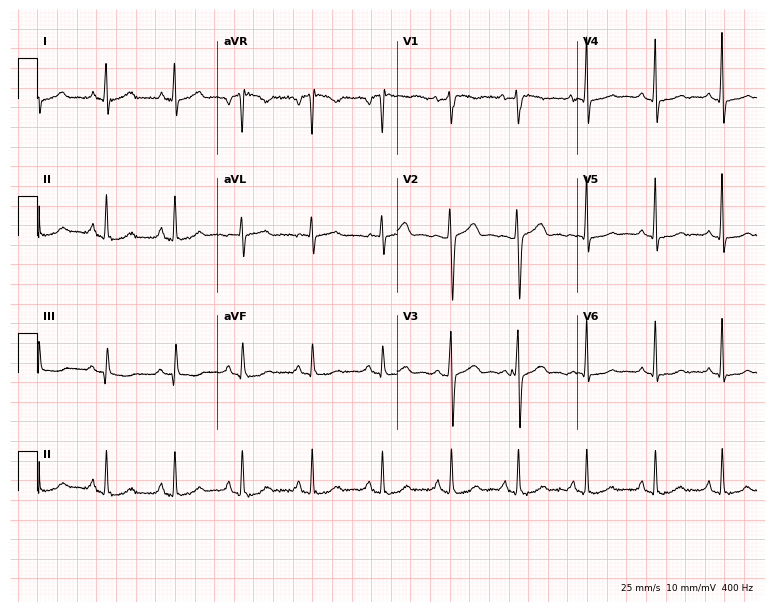
12-lead ECG from a 49-year-old female patient. Screened for six findings — first-degree AV block, right bundle branch block, left bundle branch block, sinus bradycardia, atrial fibrillation, sinus tachycardia — none is recorded. Only these six findings were labelled.